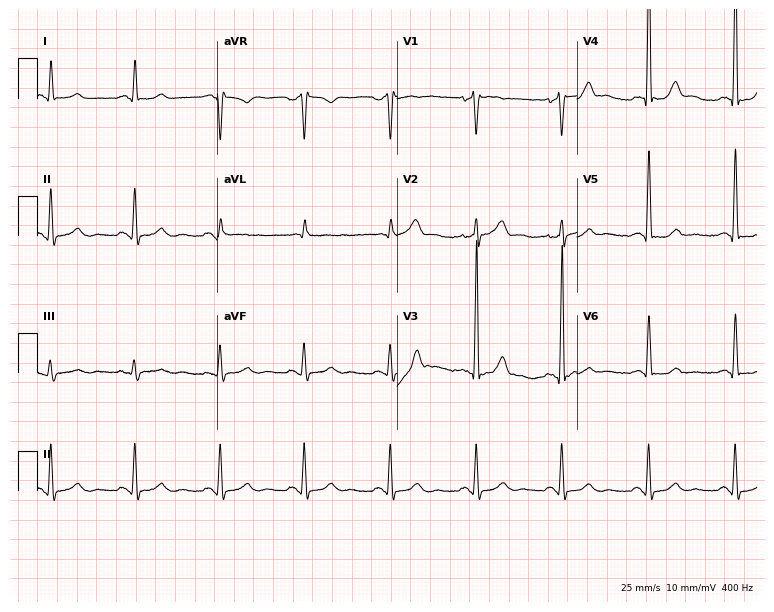
Standard 12-lead ECG recorded from a man, 62 years old. None of these six findings is recorded: first-degree AV block, right bundle branch block, left bundle branch block, sinus bradycardia, atrial fibrillation, sinus tachycardia.